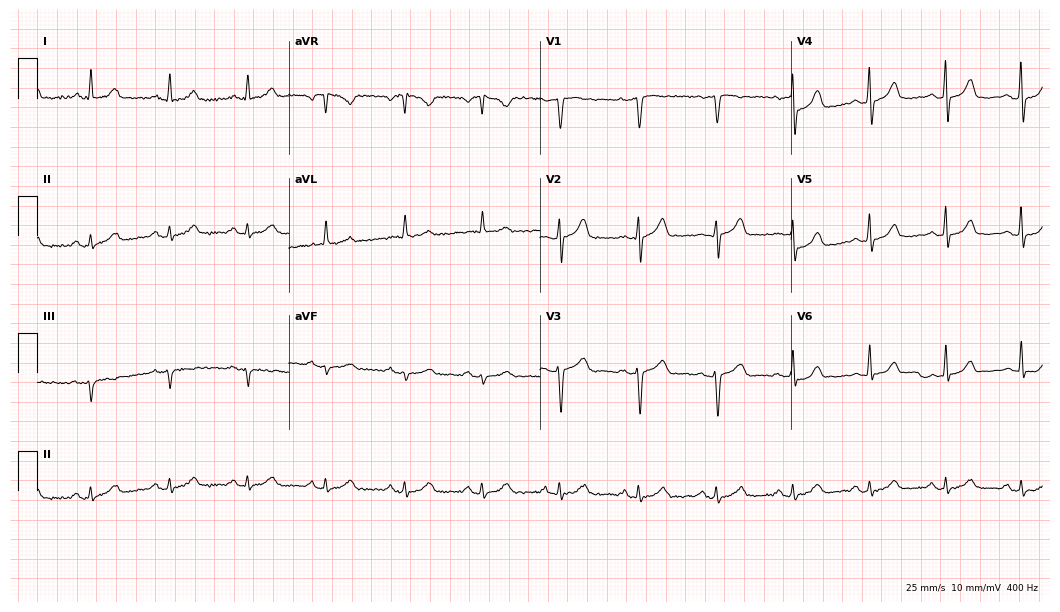
Electrocardiogram (10.2-second recording at 400 Hz), a 68-year-old woman. Overall reading on record: normal ECG.